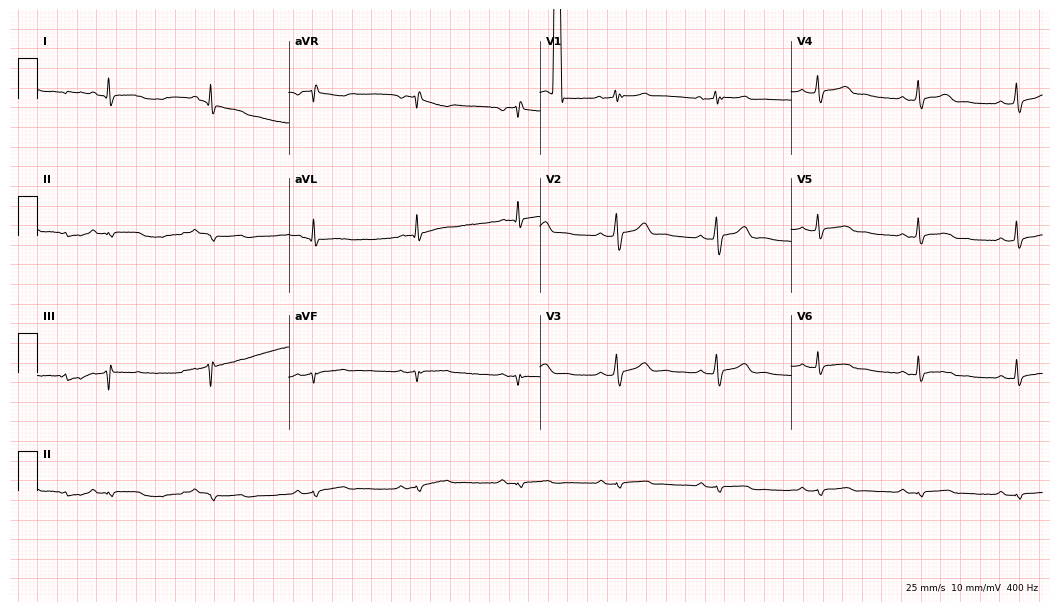
12-lead ECG from a male, 39 years old. Screened for six findings — first-degree AV block, right bundle branch block, left bundle branch block, sinus bradycardia, atrial fibrillation, sinus tachycardia — none is recorded. Other findings, if any, are not listed.